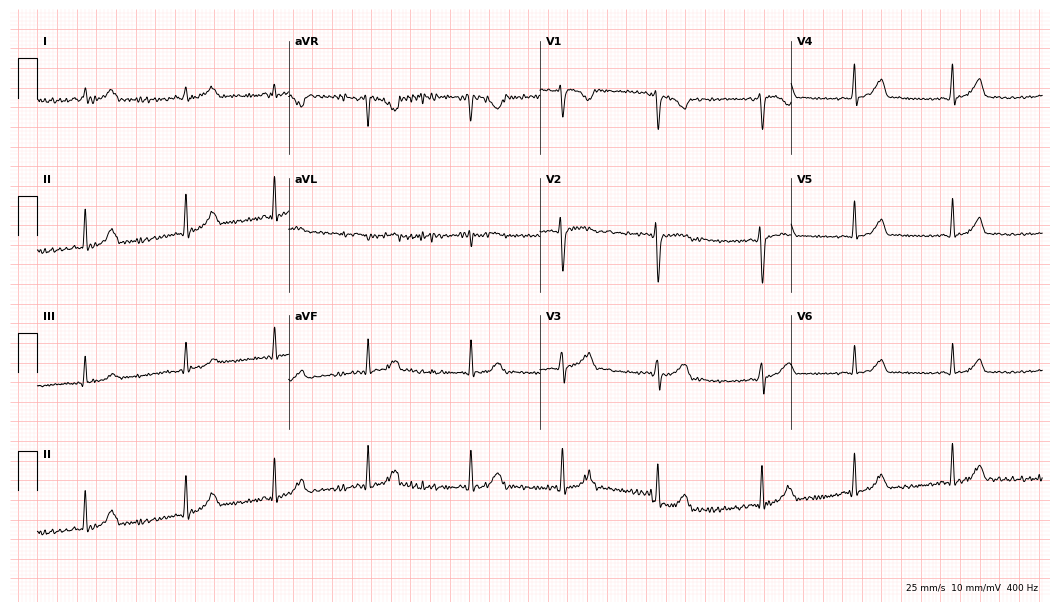
12-lead ECG from a 24-year-old female patient. Labelled as a normal ECG.